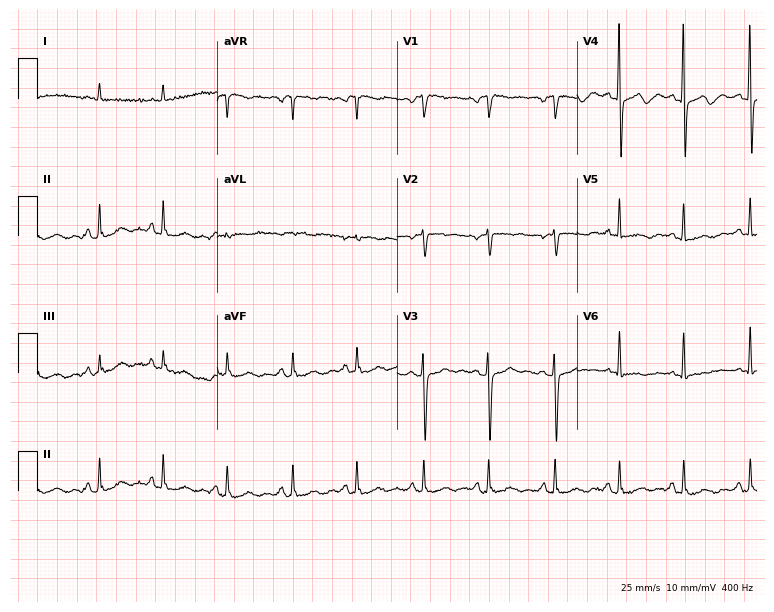
Standard 12-lead ECG recorded from a male, 49 years old. Read as a normal ECG.